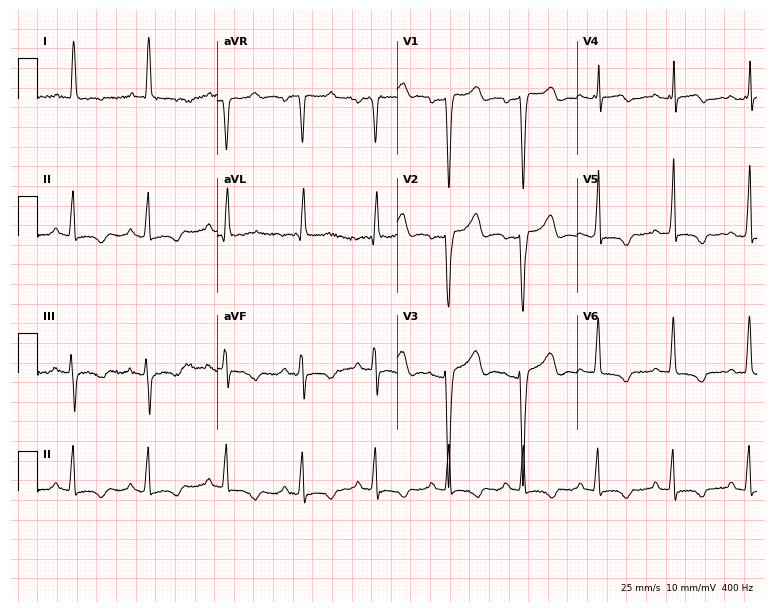
Resting 12-lead electrocardiogram (7.3-second recording at 400 Hz). Patient: a 45-year-old female. None of these six findings is recorded: first-degree AV block, right bundle branch block, left bundle branch block, sinus bradycardia, atrial fibrillation, sinus tachycardia.